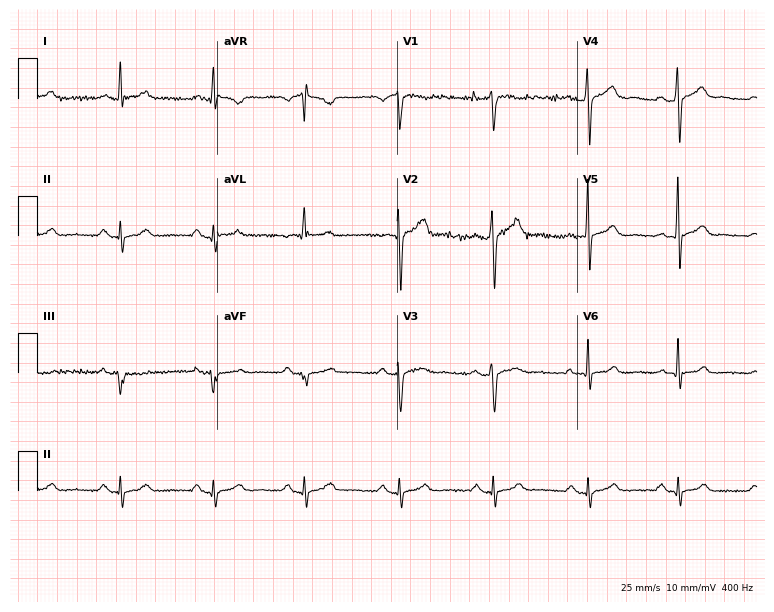
12-lead ECG from a male, 43 years old (7.3-second recording at 400 Hz). No first-degree AV block, right bundle branch block, left bundle branch block, sinus bradycardia, atrial fibrillation or sinus tachycardia recorded for this tracing. Findings outside these six are not listed.